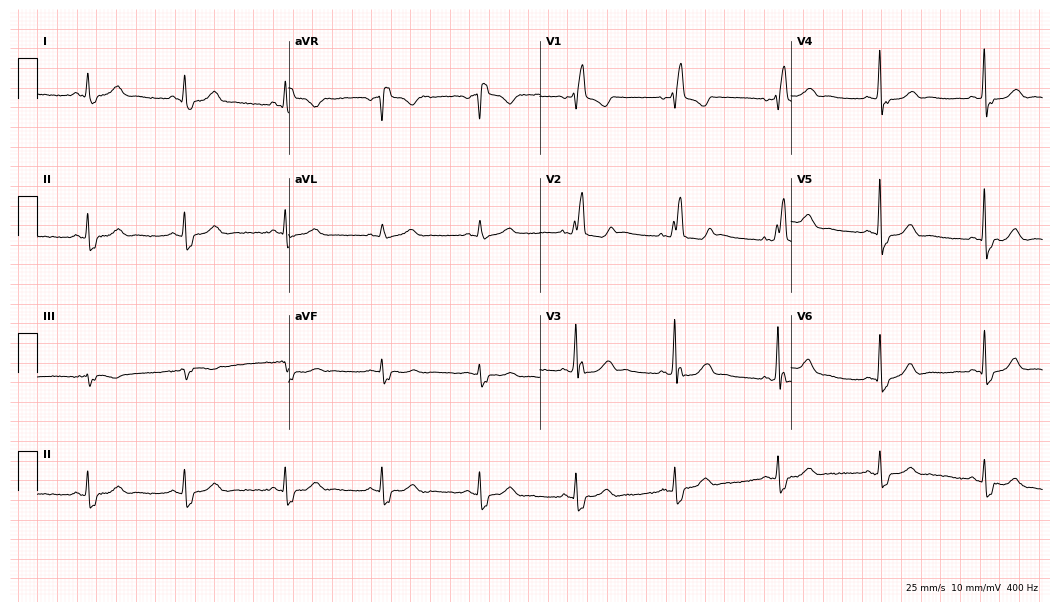
Standard 12-lead ECG recorded from a woman, 53 years old (10.2-second recording at 400 Hz). The tracing shows right bundle branch block.